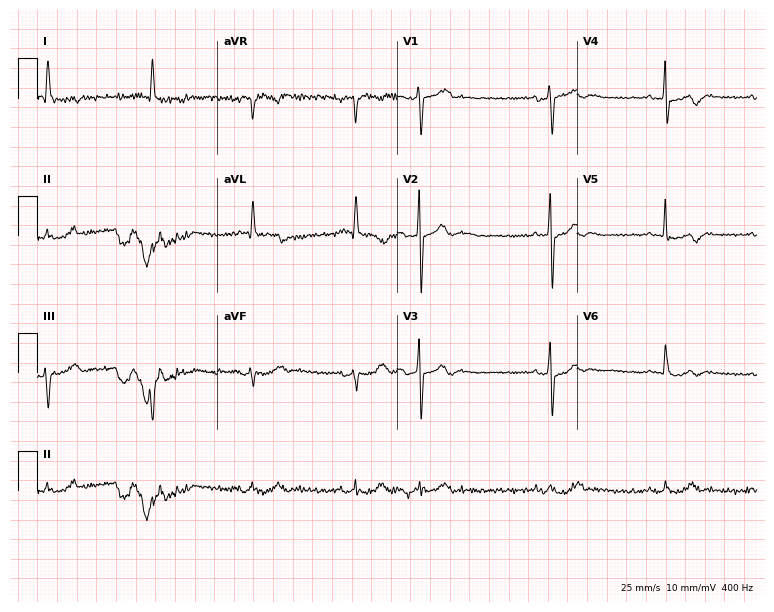
12-lead ECG from an 82-year-old man. Labelled as a normal ECG.